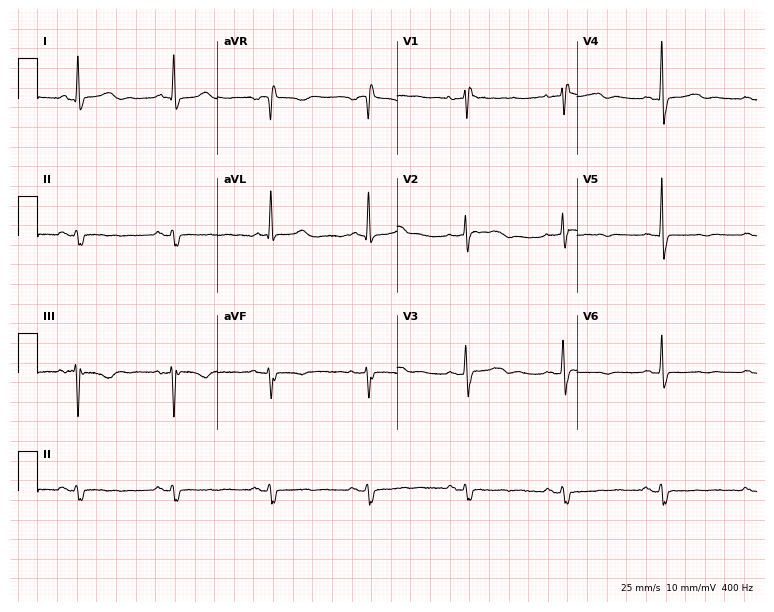
ECG (7.3-second recording at 400 Hz) — a woman, 70 years old. Screened for six findings — first-degree AV block, right bundle branch block (RBBB), left bundle branch block (LBBB), sinus bradycardia, atrial fibrillation (AF), sinus tachycardia — none is recorded.